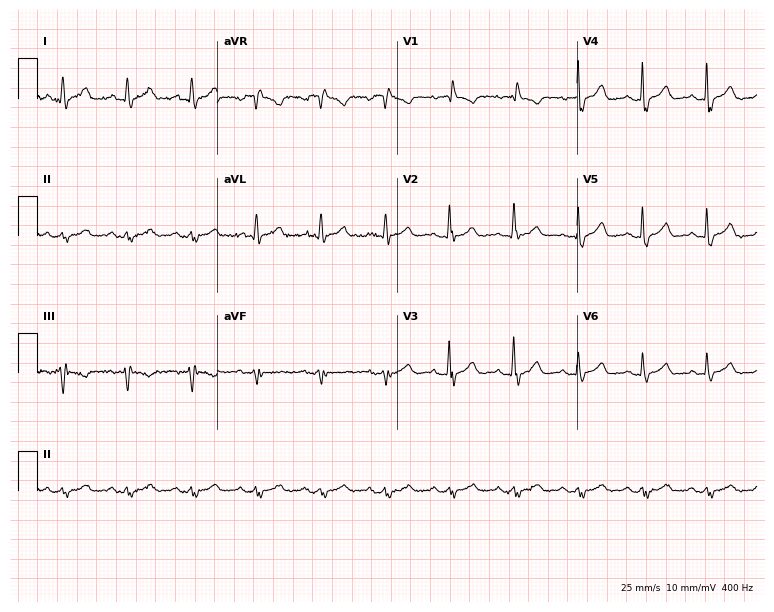
Electrocardiogram (7.3-second recording at 400 Hz), a man, 72 years old. Of the six screened findings (first-degree AV block, right bundle branch block, left bundle branch block, sinus bradycardia, atrial fibrillation, sinus tachycardia), none is recorded.